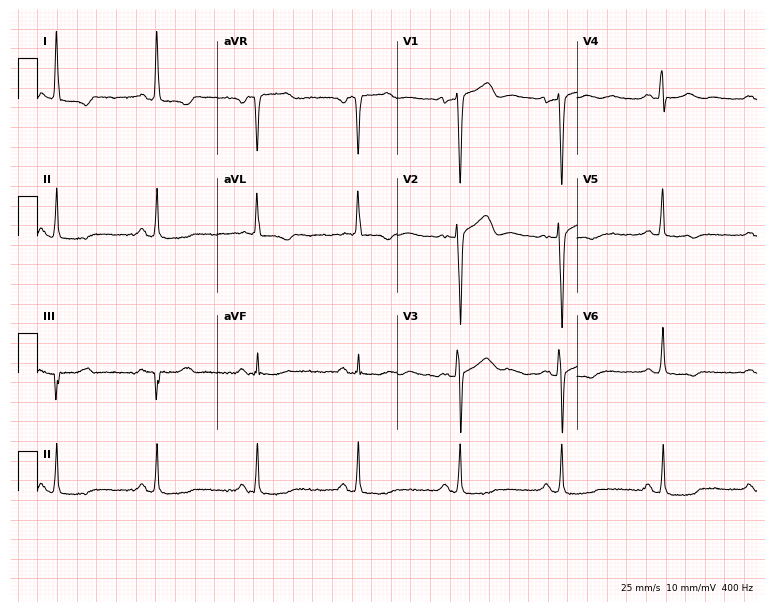
12-lead ECG from a 54-year-old male (7.3-second recording at 400 Hz). Recorded interpretation: within normal limits.